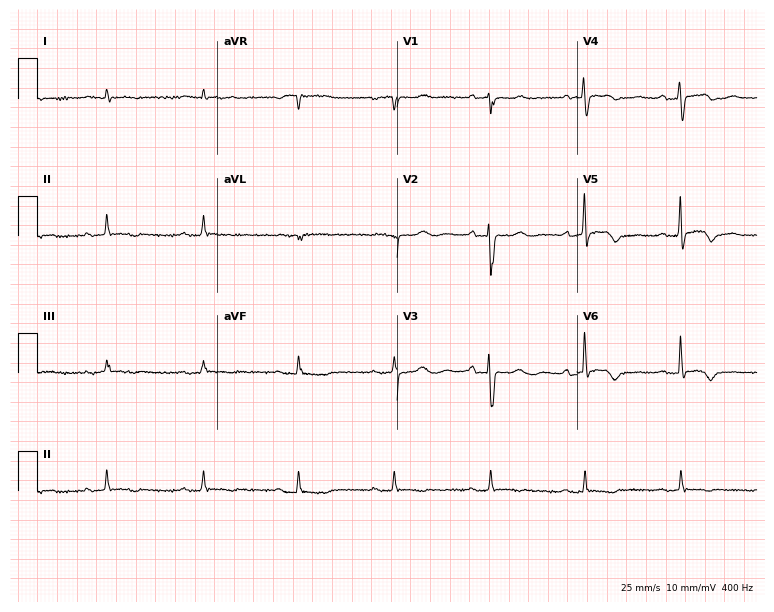
12-lead ECG (7.3-second recording at 400 Hz) from a female, 81 years old. Screened for six findings — first-degree AV block, right bundle branch block (RBBB), left bundle branch block (LBBB), sinus bradycardia, atrial fibrillation (AF), sinus tachycardia — none is recorded.